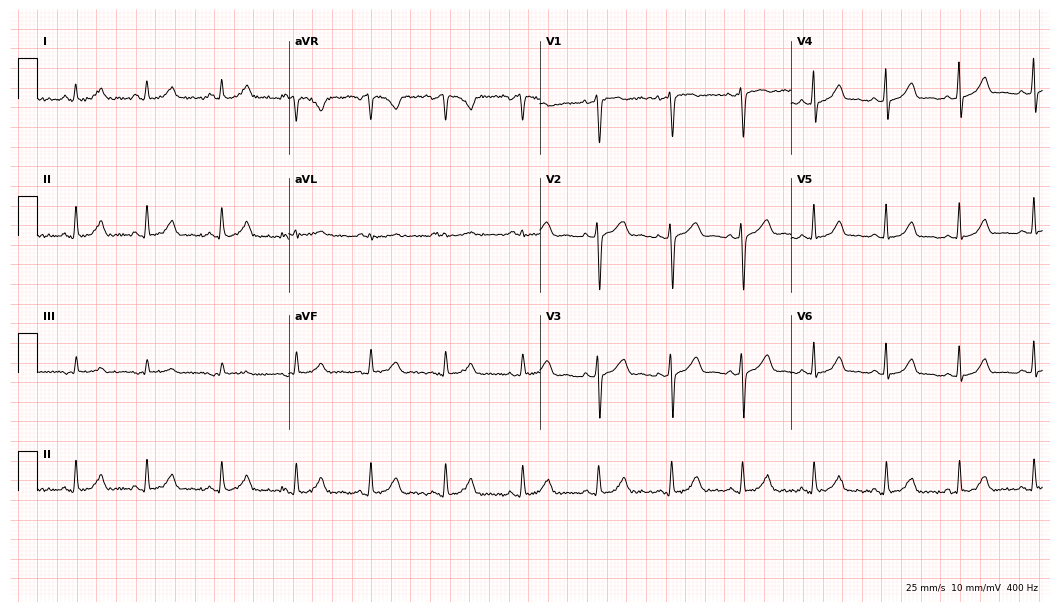
Standard 12-lead ECG recorded from a 31-year-old female. None of these six findings is recorded: first-degree AV block, right bundle branch block, left bundle branch block, sinus bradycardia, atrial fibrillation, sinus tachycardia. Other findings, if any, are not listed.